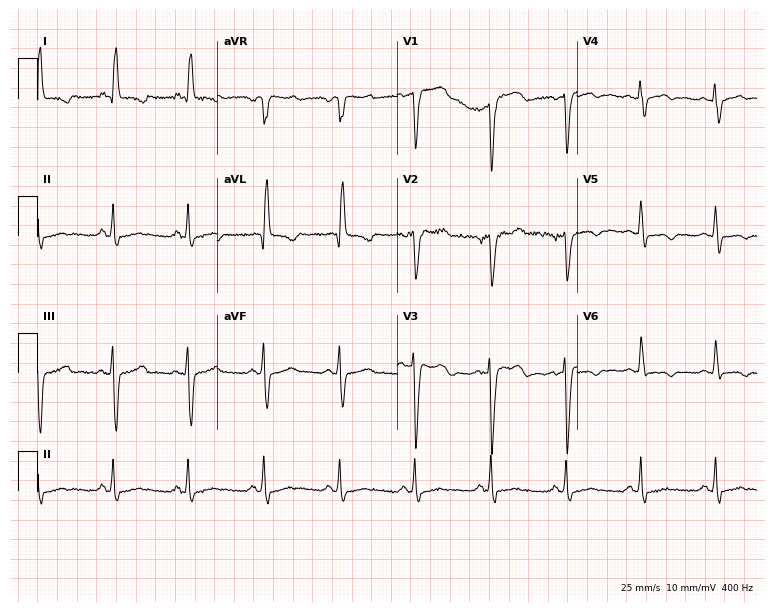
Resting 12-lead electrocardiogram (7.3-second recording at 400 Hz). Patient: a 61-year-old female. None of these six findings is recorded: first-degree AV block, right bundle branch block (RBBB), left bundle branch block (LBBB), sinus bradycardia, atrial fibrillation (AF), sinus tachycardia. Only these six findings were labelled.